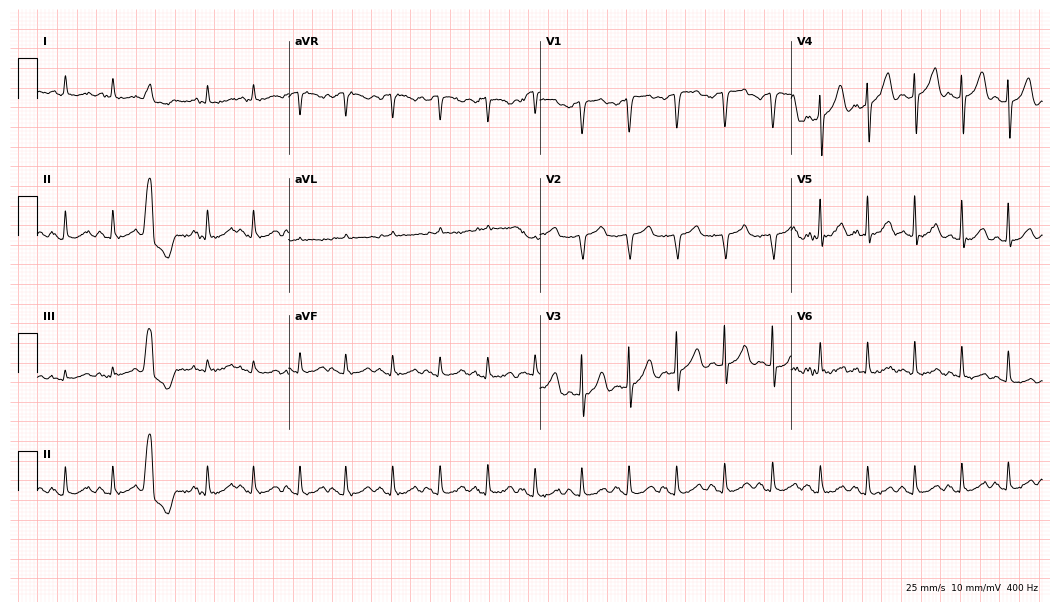
Standard 12-lead ECG recorded from a male, 55 years old (10.2-second recording at 400 Hz). The tracing shows sinus tachycardia (a sinus rate of 100 beats per minute or more).